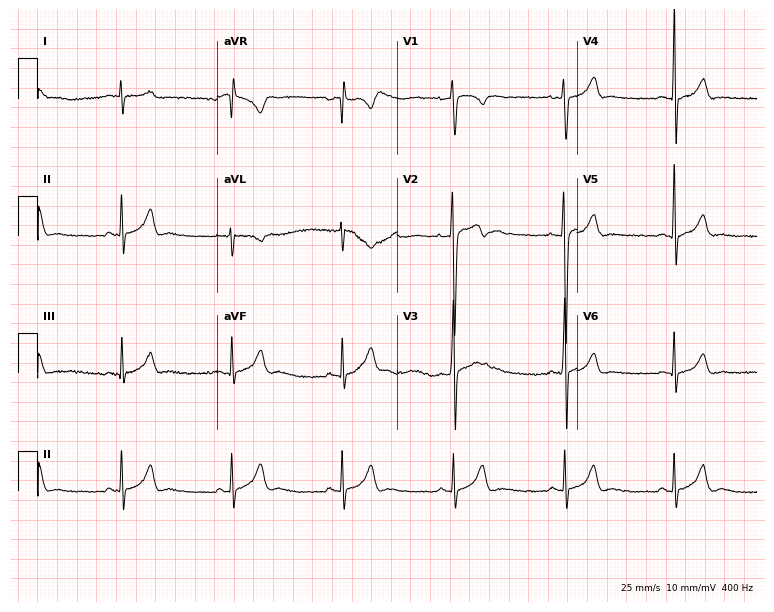
12-lead ECG from a male patient, 17 years old (7.3-second recording at 400 Hz). Recorded interpretation: within normal limits.